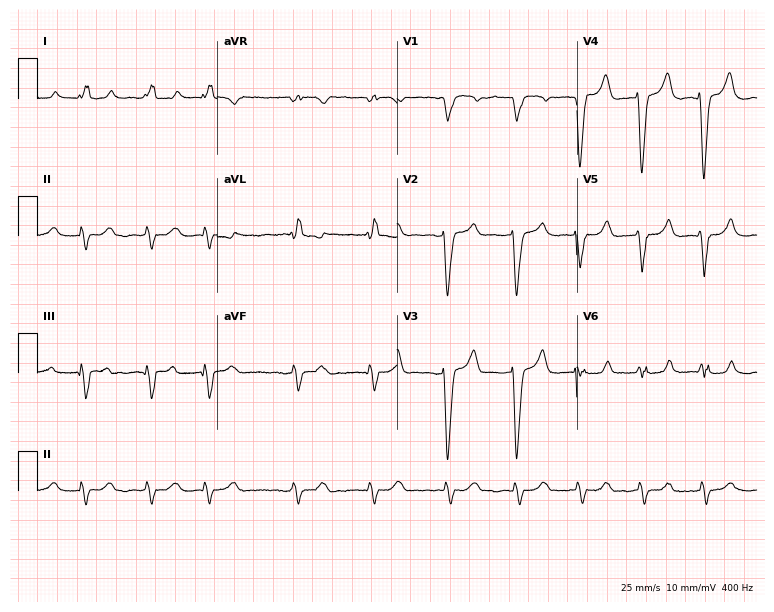
Standard 12-lead ECG recorded from a male, 75 years old (7.3-second recording at 400 Hz). None of these six findings is recorded: first-degree AV block, right bundle branch block, left bundle branch block, sinus bradycardia, atrial fibrillation, sinus tachycardia.